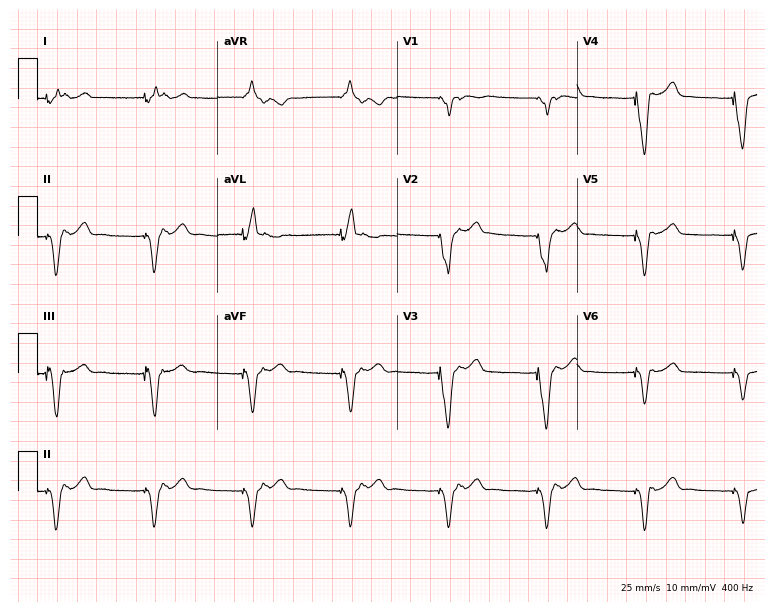
Standard 12-lead ECG recorded from a 33-year-old woman. None of these six findings is recorded: first-degree AV block, right bundle branch block, left bundle branch block, sinus bradycardia, atrial fibrillation, sinus tachycardia. Other findings, if any, are not listed.